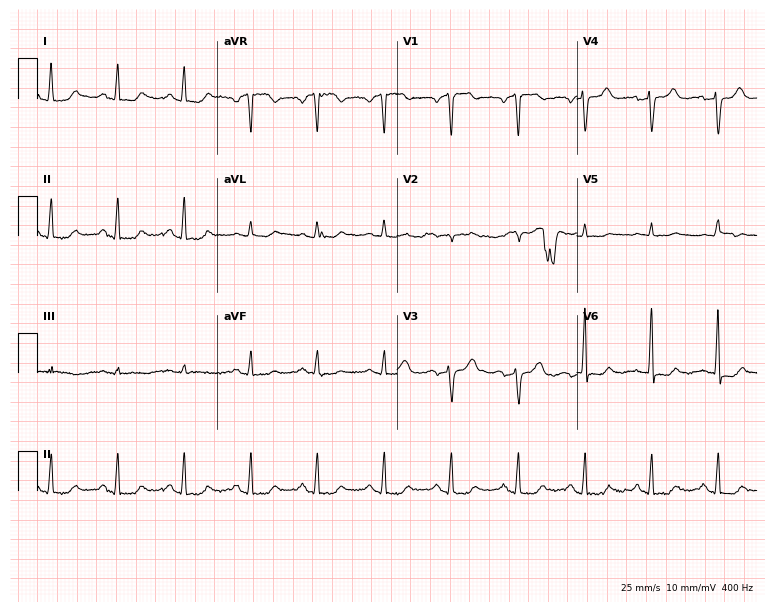
Electrocardiogram (7.3-second recording at 400 Hz), a 73-year-old woman. Of the six screened findings (first-degree AV block, right bundle branch block (RBBB), left bundle branch block (LBBB), sinus bradycardia, atrial fibrillation (AF), sinus tachycardia), none is recorded. Findings outside these six are not listed.